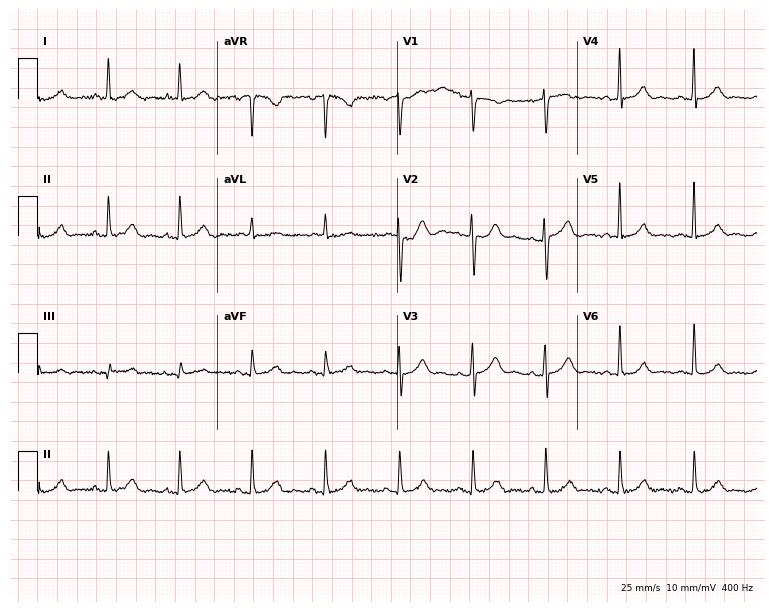
Standard 12-lead ECG recorded from a 63-year-old female. None of these six findings is recorded: first-degree AV block, right bundle branch block, left bundle branch block, sinus bradycardia, atrial fibrillation, sinus tachycardia.